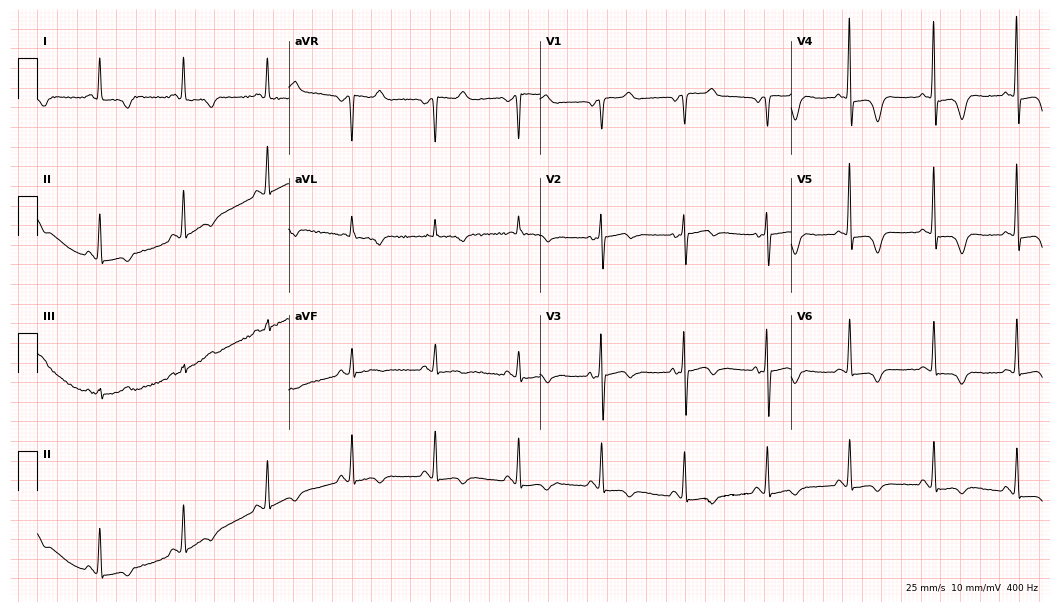
Electrocardiogram (10.2-second recording at 400 Hz), a 60-year-old female. Of the six screened findings (first-degree AV block, right bundle branch block, left bundle branch block, sinus bradycardia, atrial fibrillation, sinus tachycardia), none is recorded.